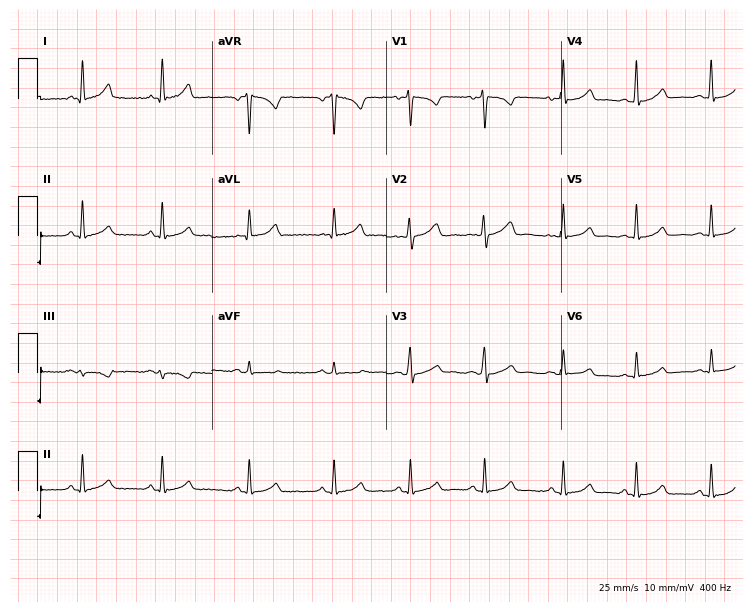
Standard 12-lead ECG recorded from a female patient, 44 years old. Read as a normal ECG.